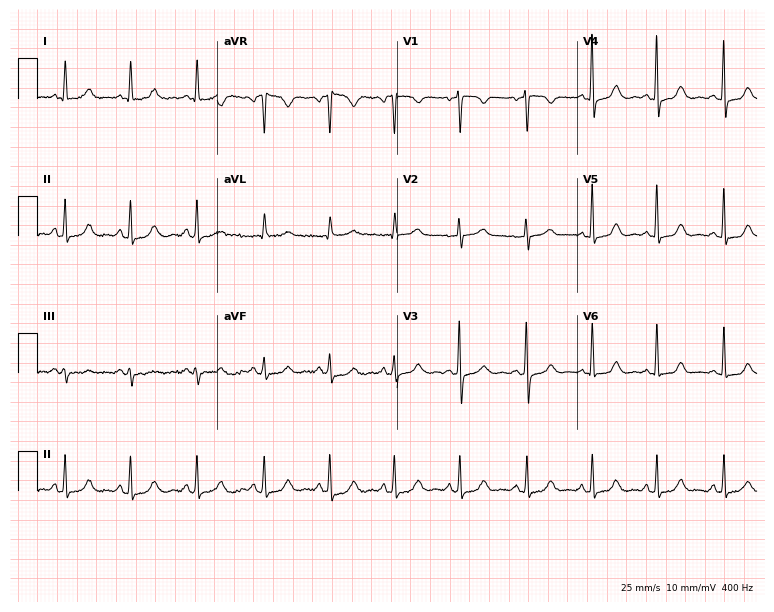
12-lead ECG from a 59-year-old female patient (7.3-second recording at 400 Hz). Recorded interpretation: within normal limits.